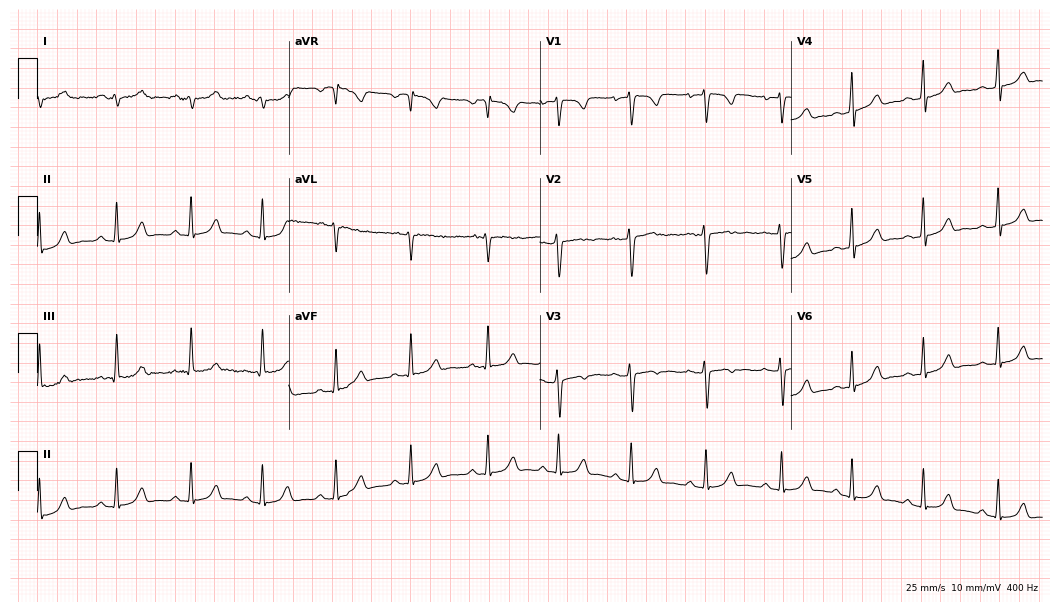
Electrocardiogram, a 17-year-old female patient. Overall reading on record: normal ECG.